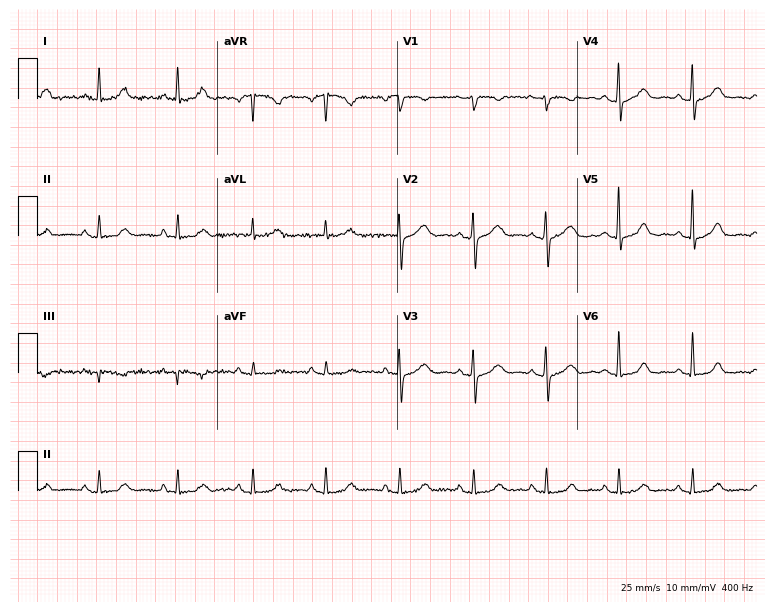
12-lead ECG (7.3-second recording at 400 Hz) from a female patient, 59 years old. Labelled as a normal ECG.